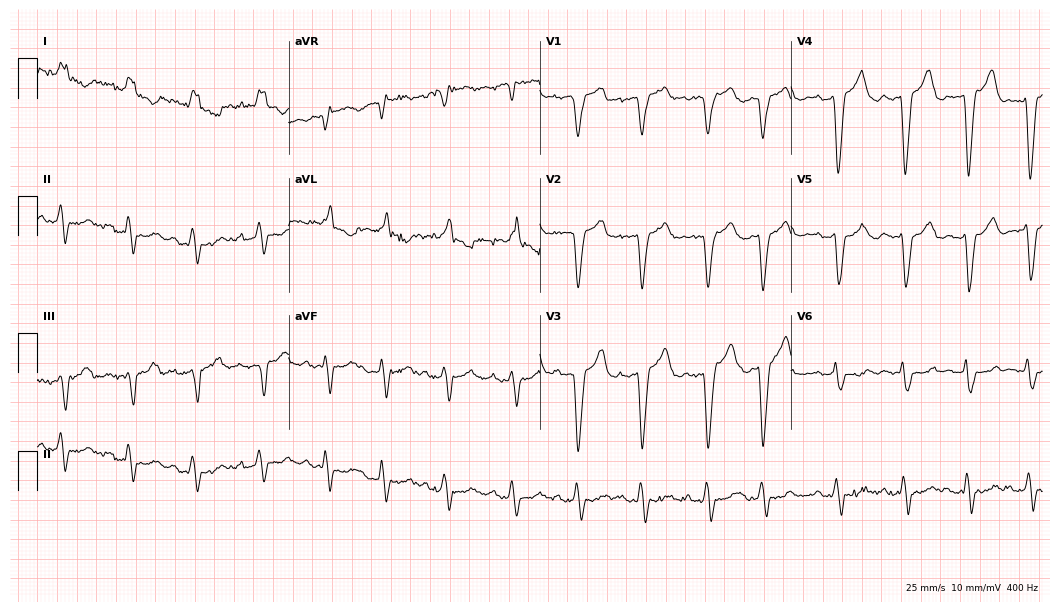
Standard 12-lead ECG recorded from a 77-year-old female. None of these six findings is recorded: first-degree AV block, right bundle branch block (RBBB), left bundle branch block (LBBB), sinus bradycardia, atrial fibrillation (AF), sinus tachycardia.